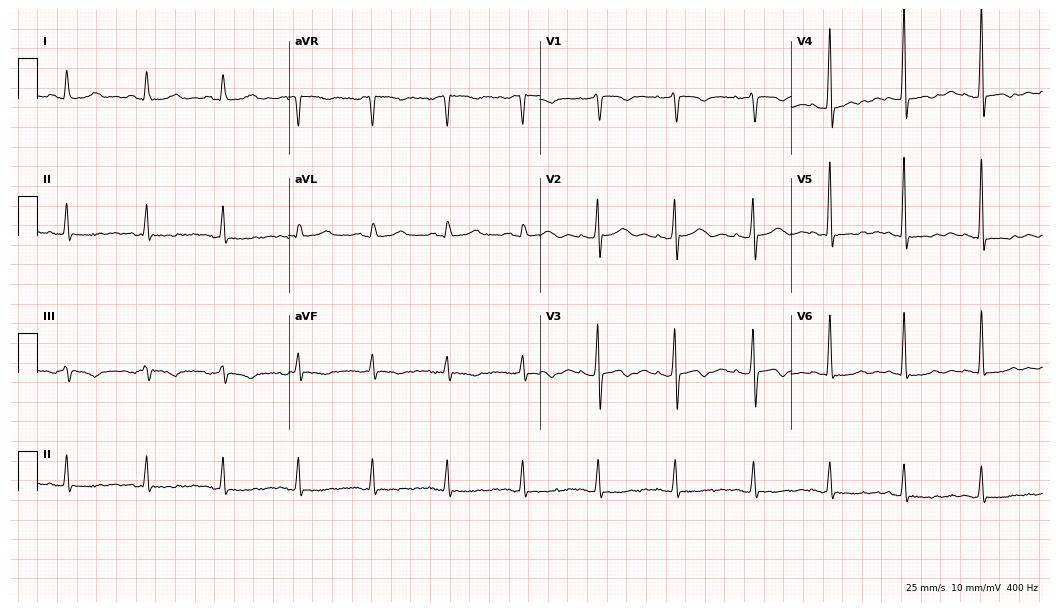
ECG — a 40-year-old woman. Screened for six findings — first-degree AV block, right bundle branch block, left bundle branch block, sinus bradycardia, atrial fibrillation, sinus tachycardia — none is recorded.